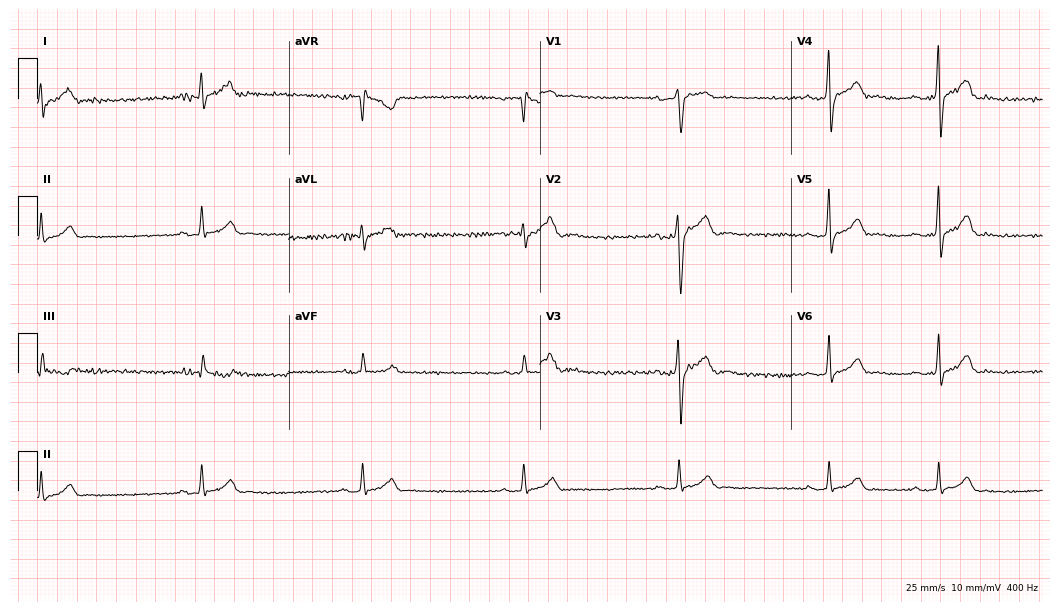
ECG (10.2-second recording at 400 Hz) — a 26-year-old man. Findings include first-degree AV block, right bundle branch block (RBBB).